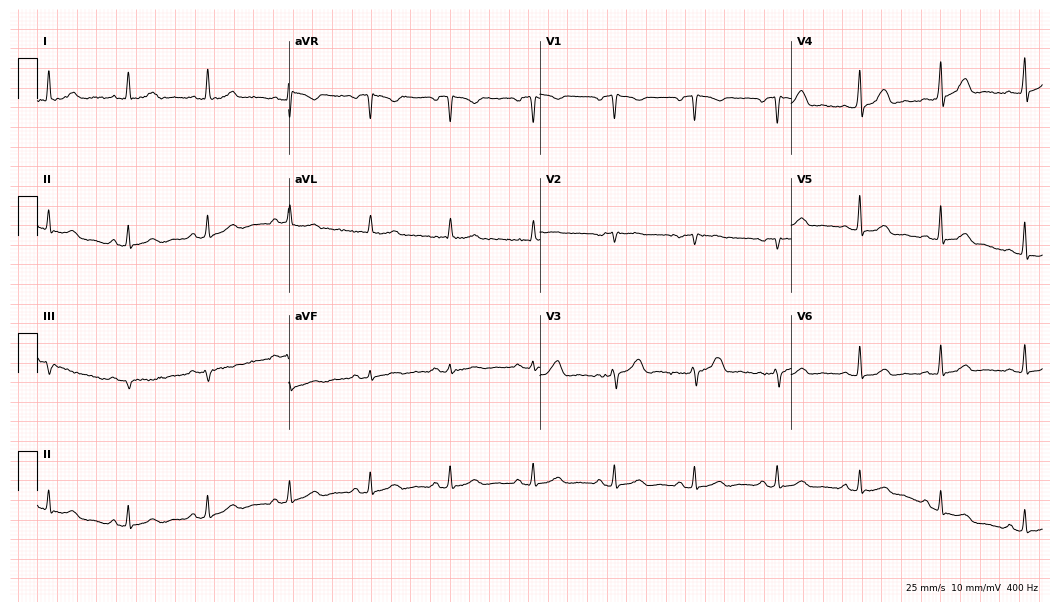
Resting 12-lead electrocardiogram (10.2-second recording at 400 Hz). Patient: a 43-year-old female. Read as a normal ECG.